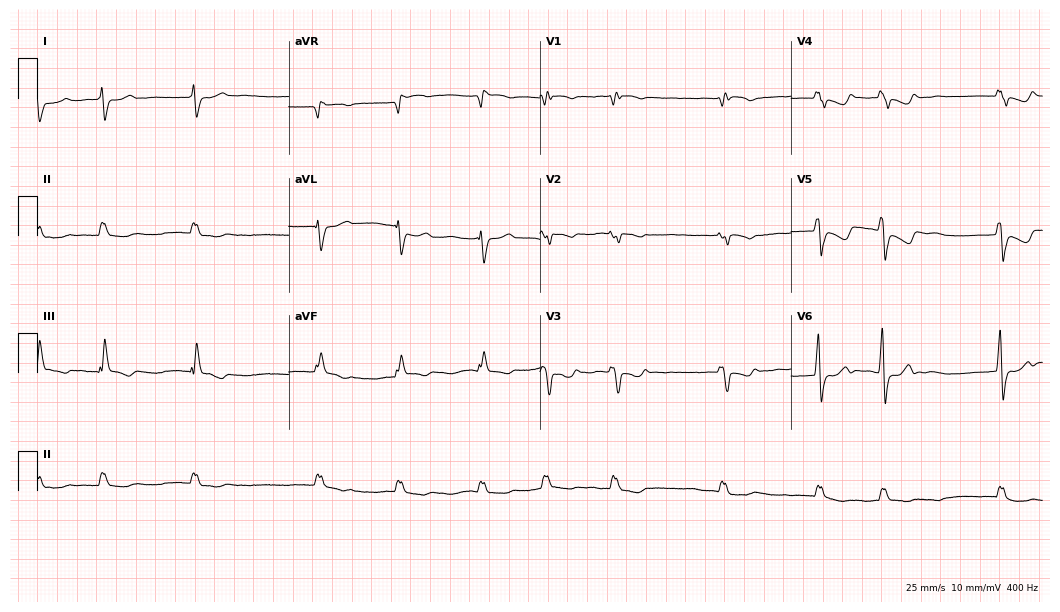
12-lead ECG from a woman, 77 years old (10.2-second recording at 400 Hz). Shows right bundle branch block, atrial fibrillation.